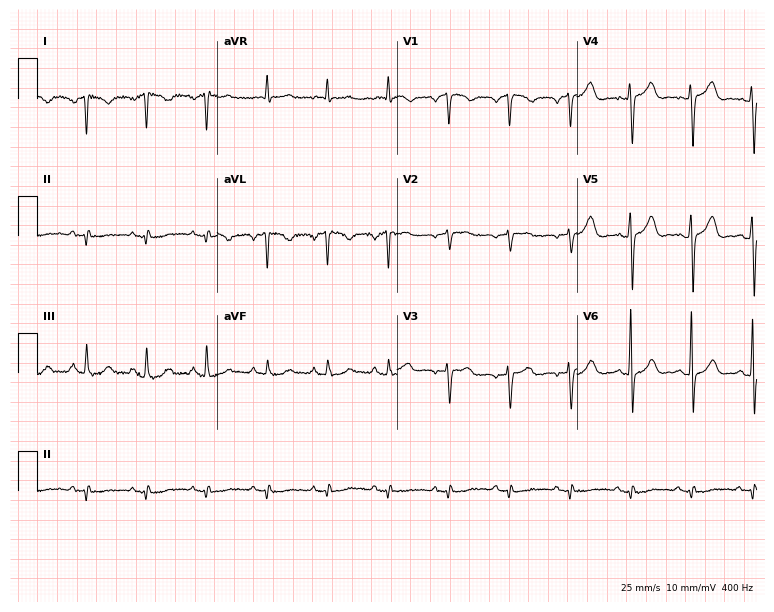
12-lead ECG from a 36-year-old female. No first-degree AV block, right bundle branch block, left bundle branch block, sinus bradycardia, atrial fibrillation or sinus tachycardia recorded for this tracing.